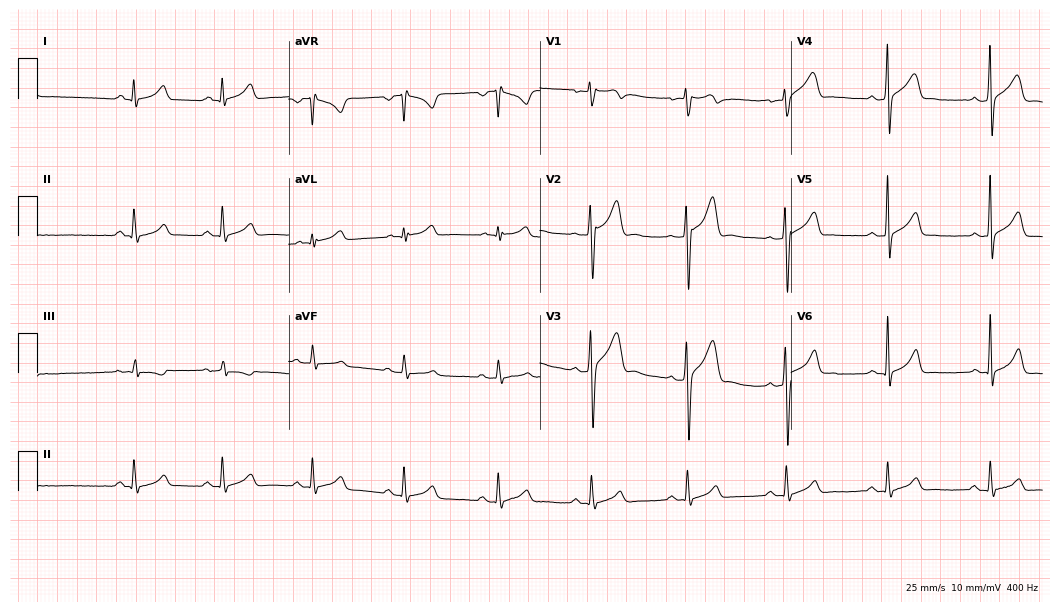
ECG — a 38-year-old male. Screened for six findings — first-degree AV block, right bundle branch block, left bundle branch block, sinus bradycardia, atrial fibrillation, sinus tachycardia — none is recorded.